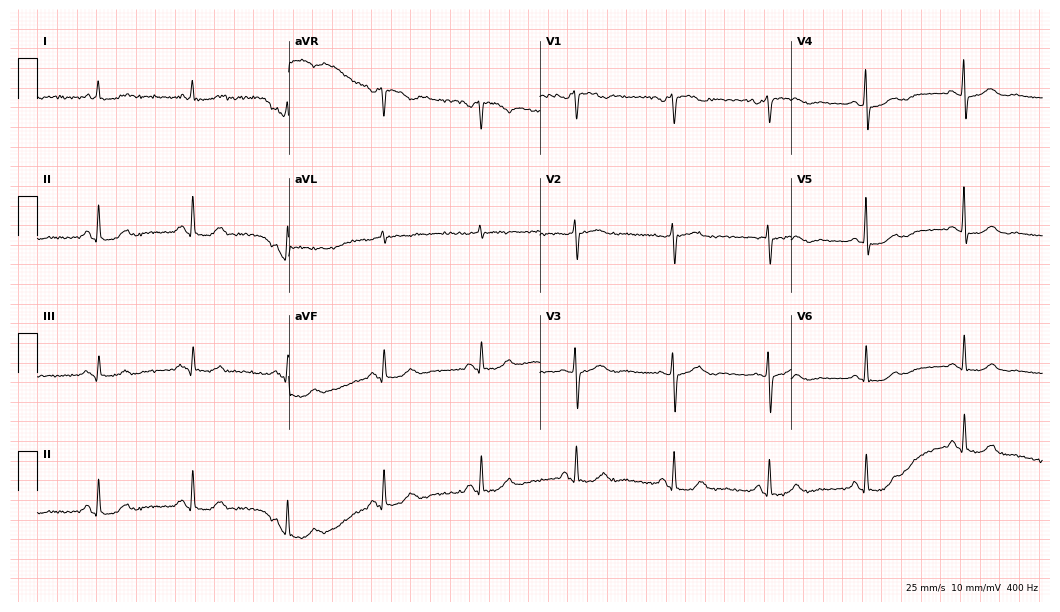
12-lead ECG (10.2-second recording at 400 Hz) from a woman, 63 years old. Screened for six findings — first-degree AV block, right bundle branch block, left bundle branch block, sinus bradycardia, atrial fibrillation, sinus tachycardia — none is recorded.